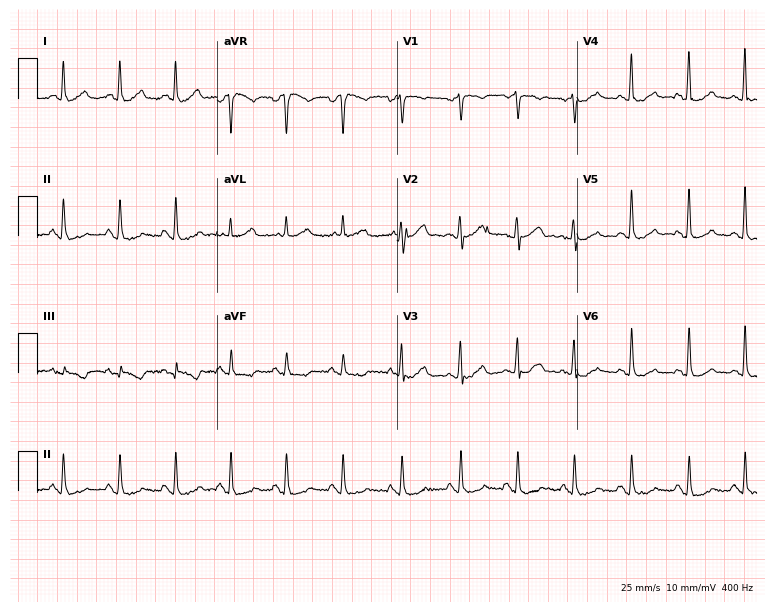
Standard 12-lead ECG recorded from a 61-year-old female patient. None of these six findings is recorded: first-degree AV block, right bundle branch block (RBBB), left bundle branch block (LBBB), sinus bradycardia, atrial fibrillation (AF), sinus tachycardia. Findings outside these six are not listed.